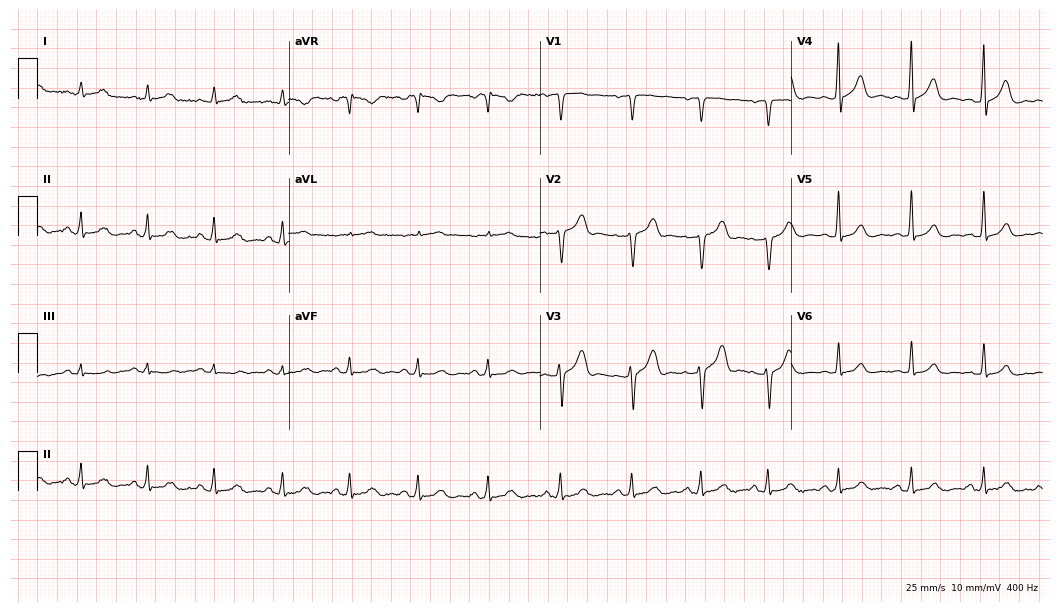
12-lead ECG from a male patient, 36 years old. No first-degree AV block, right bundle branch block (RBBB), left bundle branch block (LBBB), sinus bradycardia, atrial fibrillation (AF) or sinus tachycardia recorded for this tracing. Only these six findings were labelled.